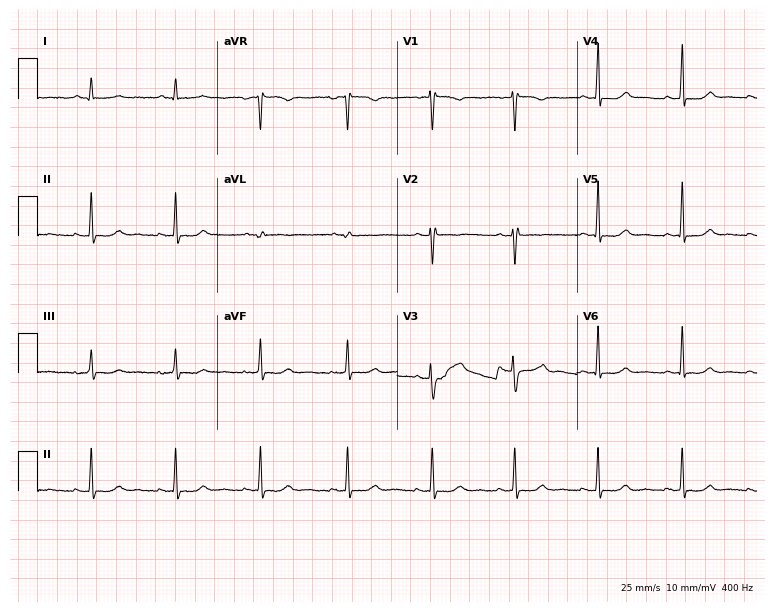
12-lead ECG from a female patient, 46 years old (7.3-second recording at 400 Hz). No first-degree AV block, right bundle branch block, left bundle branch block, sinus bradycardia, atrial fibrillation or sinus tachycardia recorded for this tracing. Findings outside these six are not listed.